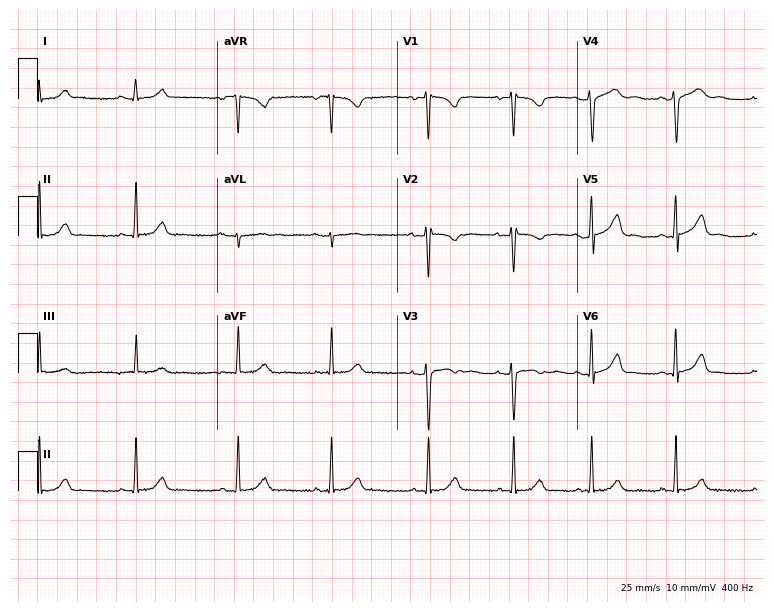
12-lead ECG from a 17-year-old woman. No first-degree AV block, right bundle branch block (RBBB), left bundle branch block (LBBB), sinus bradycardia, atrial fibrillation (AF) or sinus tachycardia recorded for this tracing. Only these six findings were labelled.